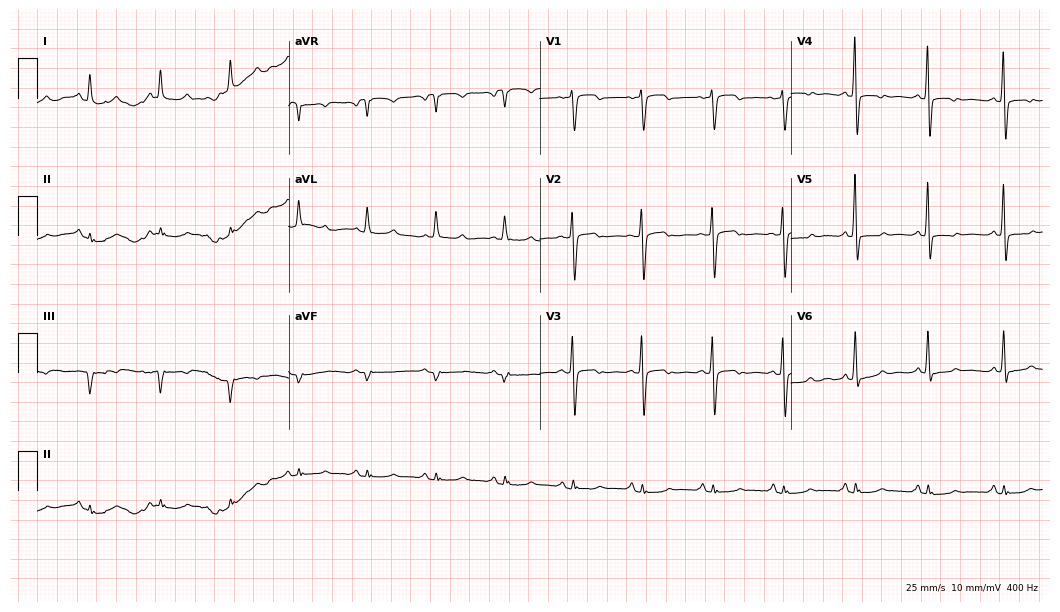
ECG — an 84-year-old female. Screened for six findings — first-degree AV block, right bundle branch block, left bundle branch block, sinus bradycardia, atrial fibrillation, sinus tachycardia — none is recorded.